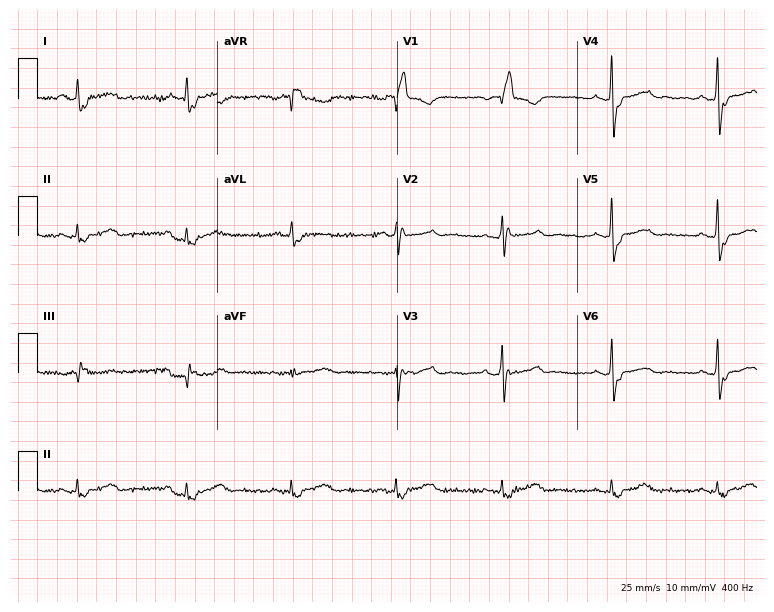
Resting 12-lead electrocardiogram (7.3-second recording at 400 Hz). Patient: a male, 60 years old. None of these six findings is recorded: first-degree AV block, right bundle branch block, left bundle branch block, sinus bradycardia, atrial fibrillation, sinus tachycardia. Other findings, if any, are not listed.